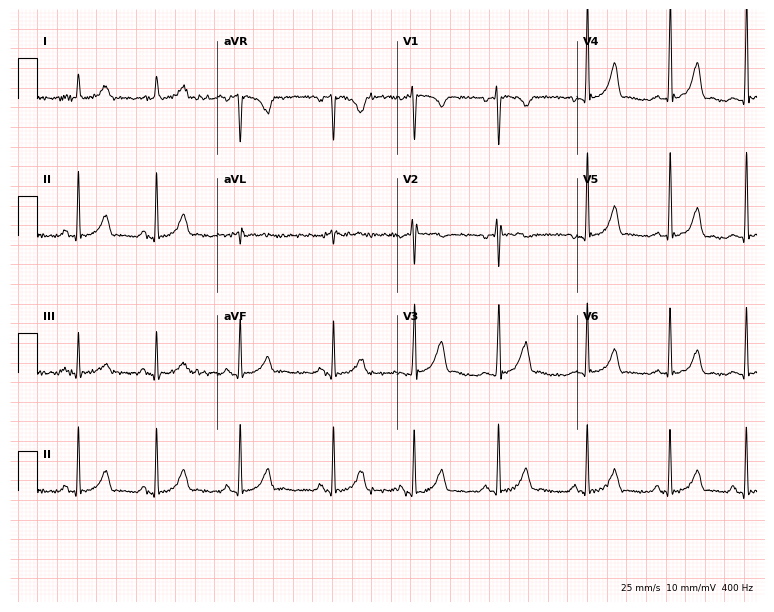
Standard 12-lead ECG recorded from a woman, 21 years old (7.3-second recording at 400 Hz). Read as a normal ECG.